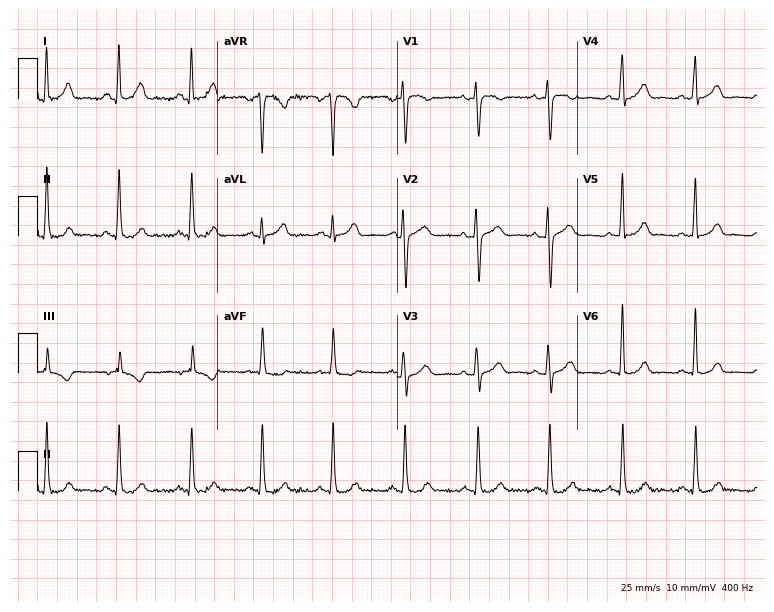
Electrocardiogram (7.3-second recording at 400 Hz), a 46-year-old female. Overall reading on record: normal ECG.